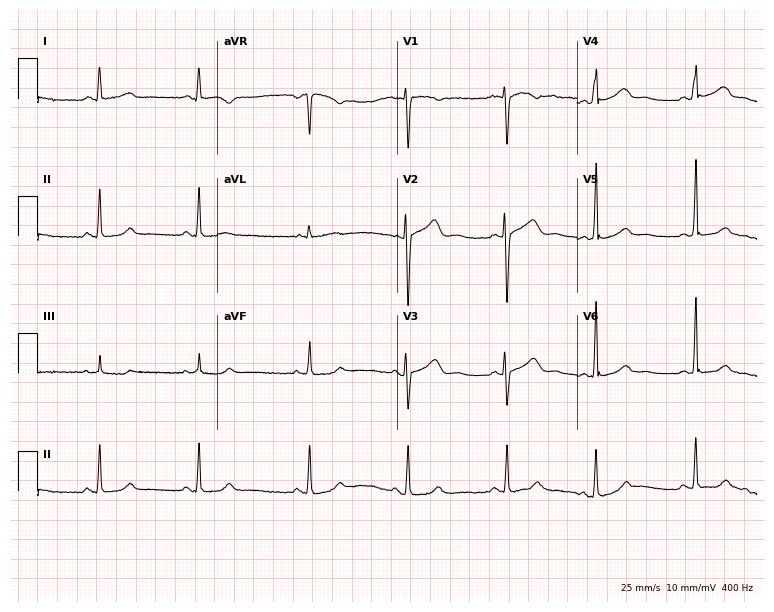
Electrocardiogram (7.3-second recording at 400 Hz), a female, 25 years old. Of the six screened findings (first-degree AV block, right bundle branch block, left bundle branch block, sinus bradycardia, atrial fibrillation, sinus tachycardia), none is recorded. Findings outside these six are not listed.